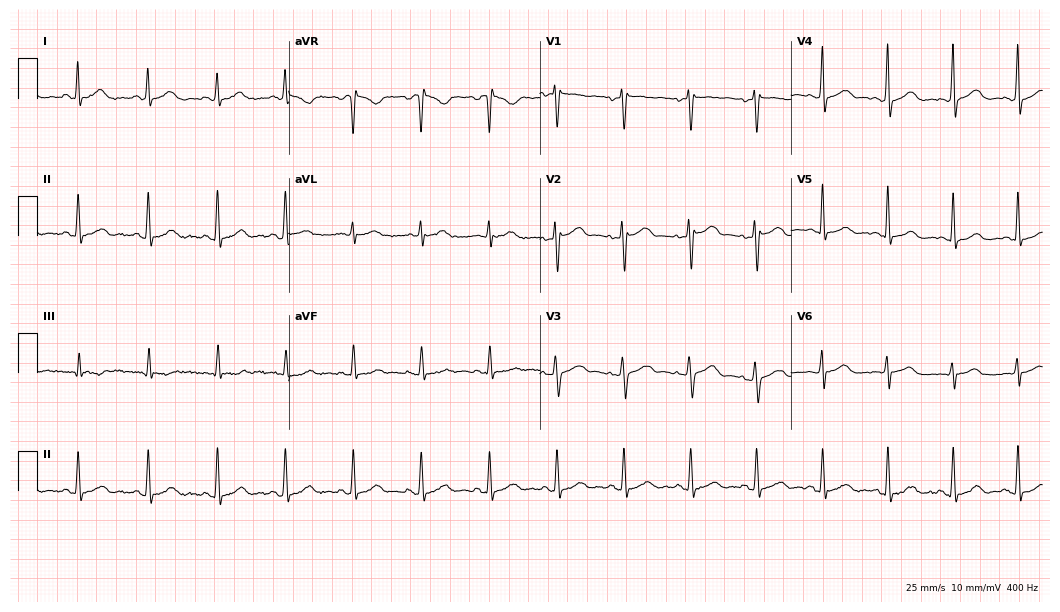
Standard 12-lead ECG recorded from a 43-year-old female. Read as a normal ECG.